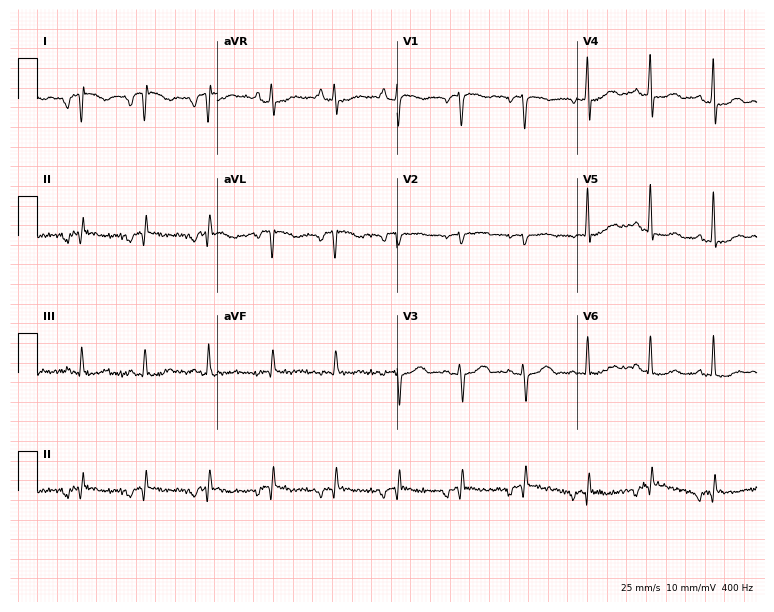
12-lead ECG from a female, 63 years old. No first-degree AV block, right bundle branch block, left bundle branch block, sinus bradycardia, atrial fibrillation or sinus tachycardia recorded for this tracing.